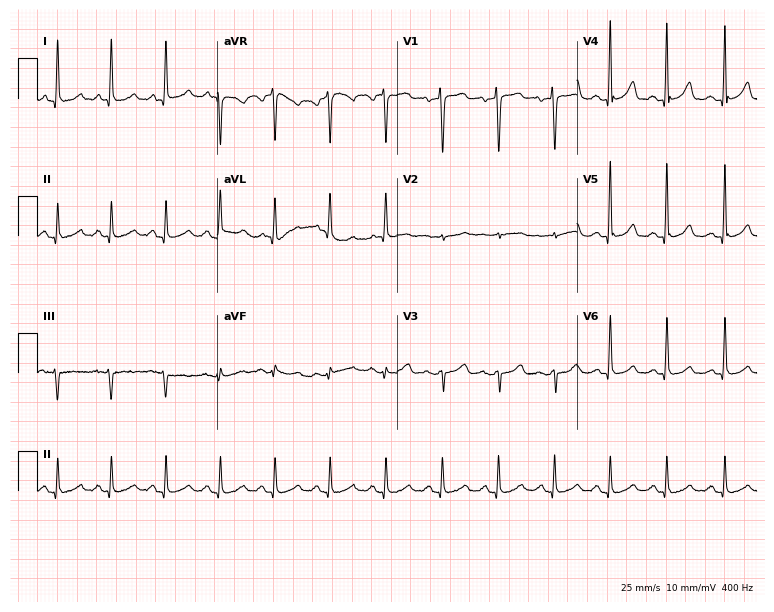
Standard 12-lead ECG recorded from a 57-year-old female patient (7.3-second recording at 400 Hz). The tracing shows sinus tachycardia (a sinus rate of 100 beats per minute or more).